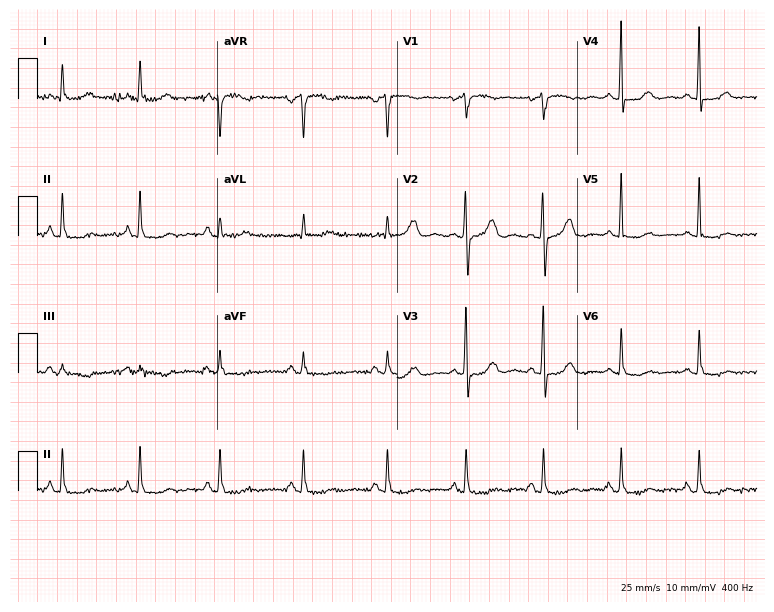
Resting 12-lead electrocardiogram (7.3-second recording at 400 Hz). Patient: a woman, 45 years old. None of these six findings is recorded: first-degree AV block, right bundle branch block, left bundle branch block, sinus bradycardia, atrial fibrillation, sinus tachycardia. Other findings, if any, are not listed.